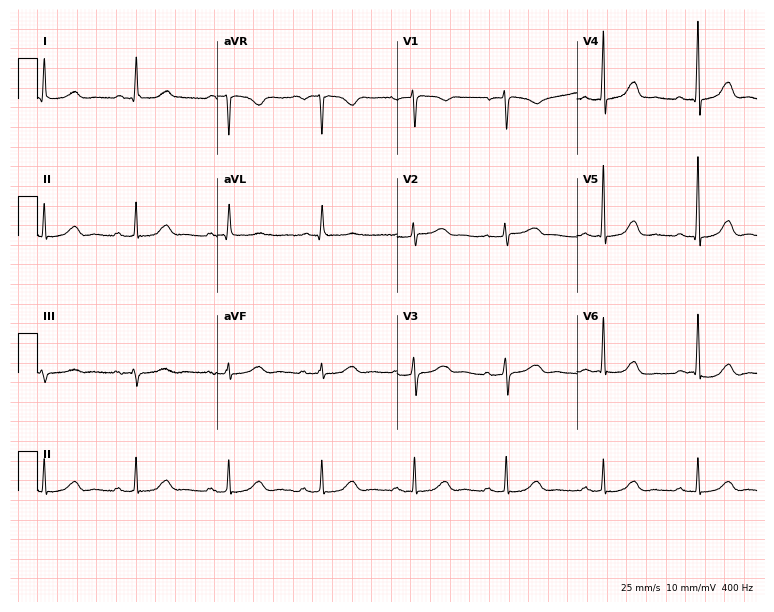
ECG (7.3-second recording at 400 Hz) — a 64-year-old female. Labelled as a normal ECG.